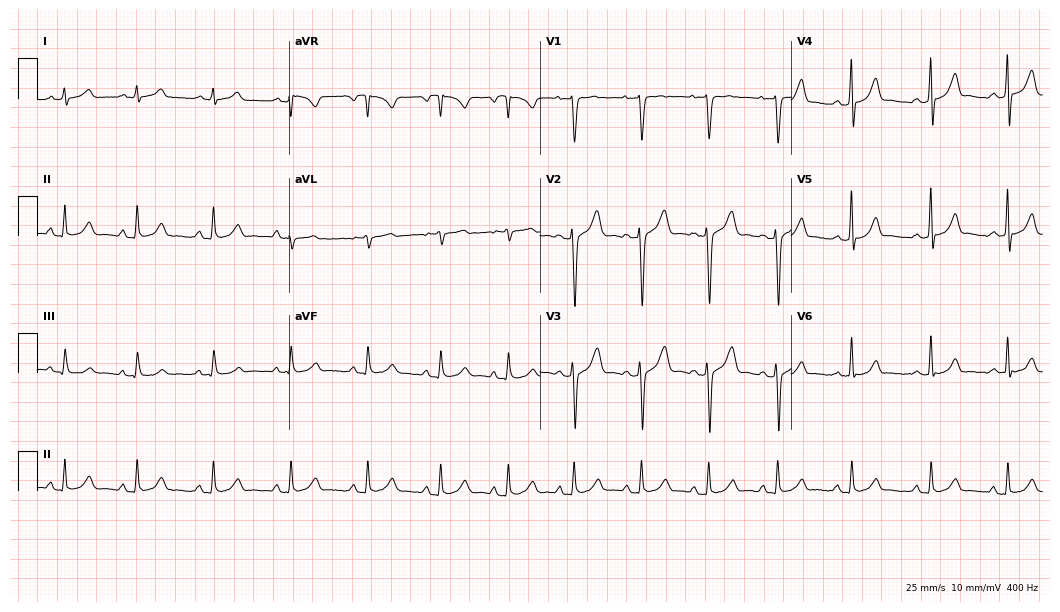
Resting 12-lead electrocardiogram. Patient: a female, 33 years old. Read as a normal ECG.